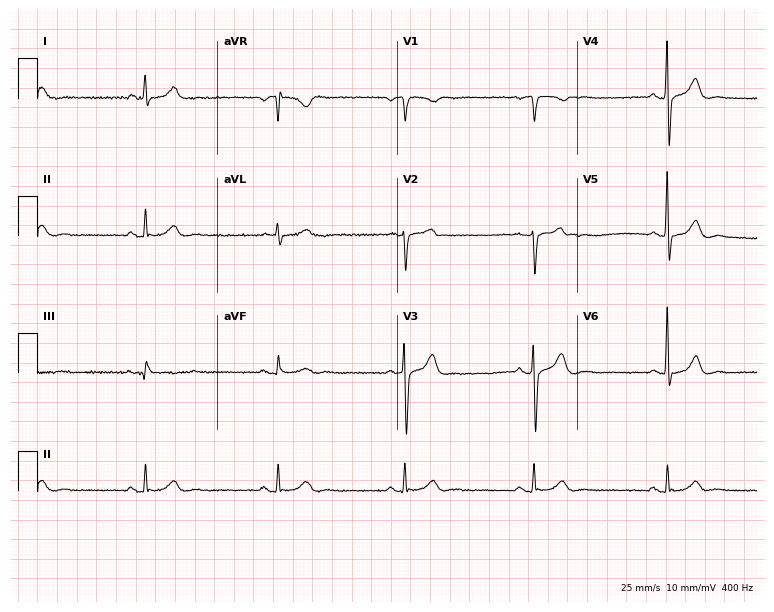
Standard 12-lead ECG recorded from a 56-year-old male (7.3-second recording at 400 Hz). The tracing shows sinus bradycardia (a sinus rate of 50 beats per minute or less).